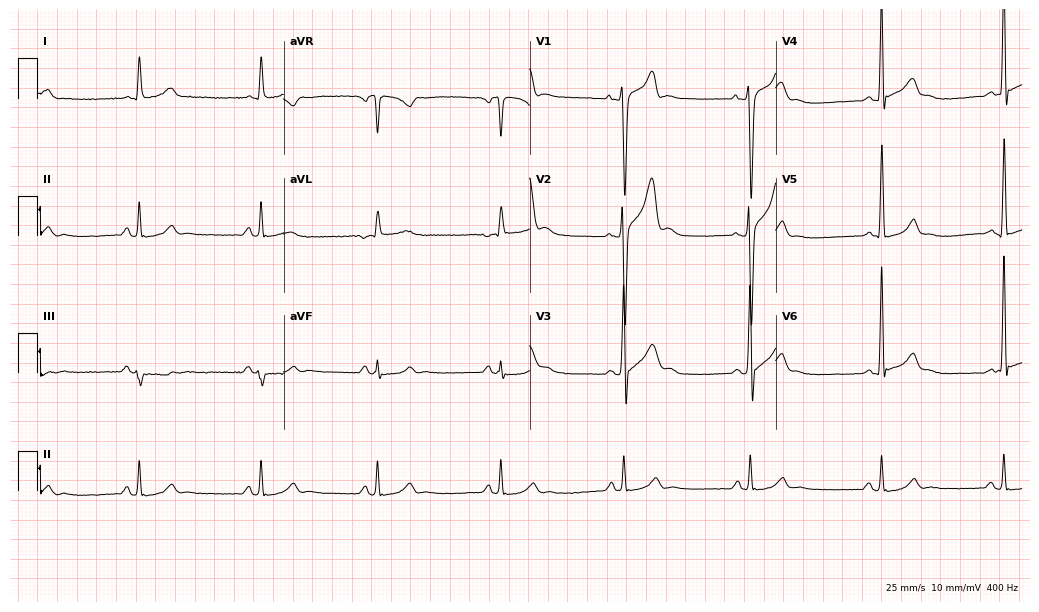
Standard 12-lead ECG recorded from a male patient, 29 years old (10-second recording at 400 Hz). The tracing shows sinus bradycardia (a sinus rate of 50 beats per minute or less).